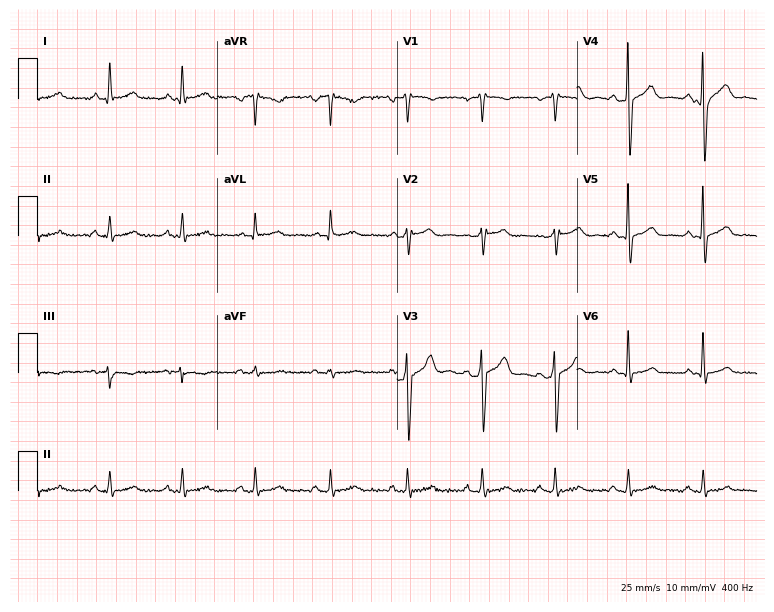
12-lead ECG from a 46-year-old male patient. Recorded interpretation: within normal limits.